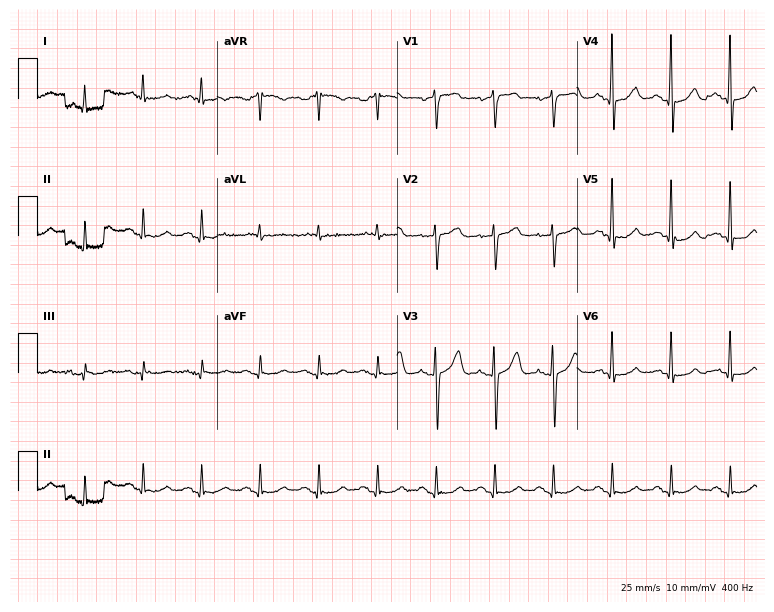
Resting 12-lead electrocardiogram. Patient: a man, 70 years old. Read as a normal ECG.